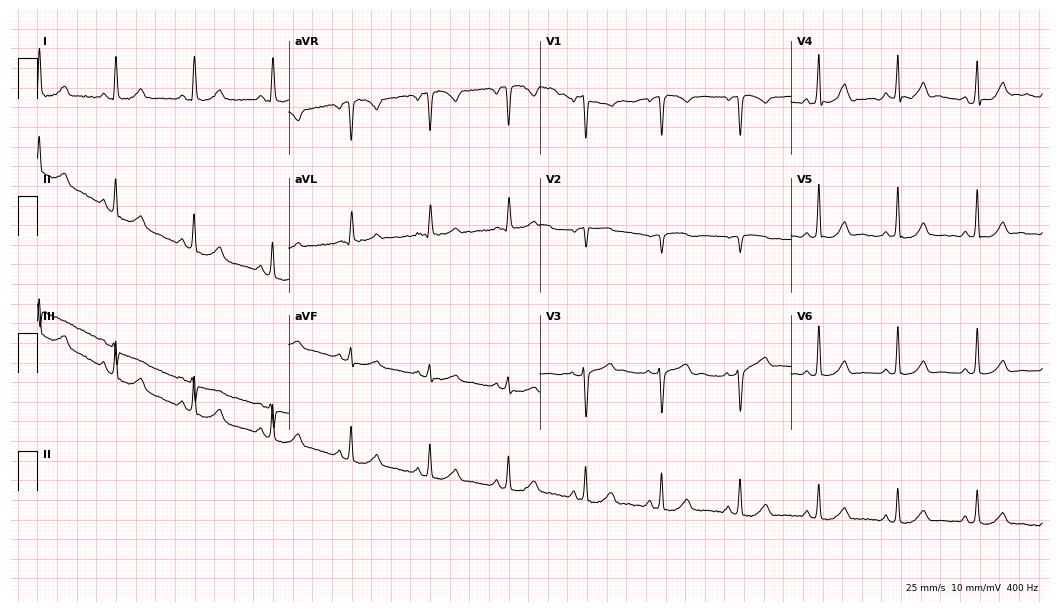
Standard 12-lead ECG recorded from a female patient, 61 years old (10.2-second recording at 400 Hz). None of these six findings is recorded: first-degree AV block, right bundle branch block, left bundle branch block, sinus bradycardia, atrial fibrillation, sinus tachycardia. Findings outside these six are not listed.